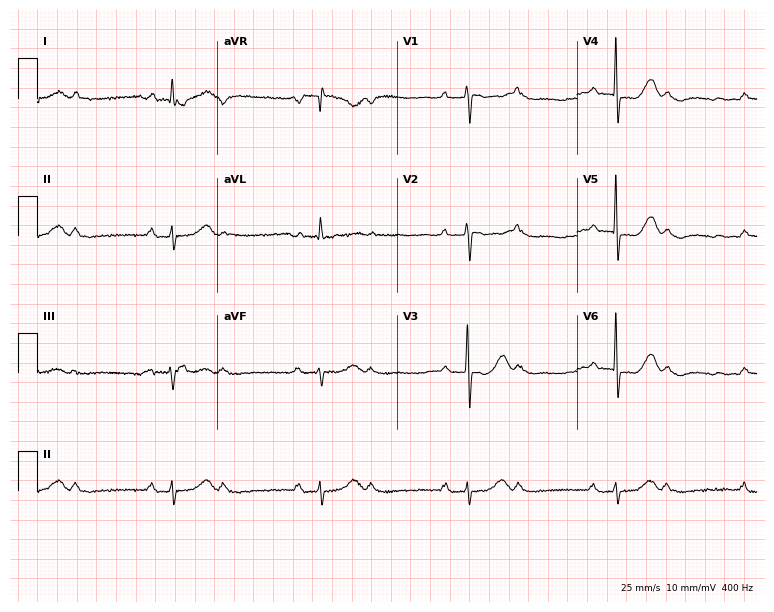
12-lead ECG from a female, 77 years old. No first-degree AV block, right bundle branch block, left bundle branch block, sinus bradycardia, atrial fibrillation or sinus tachycardia recorded for this tracing. Other findings, if any, are not listed.